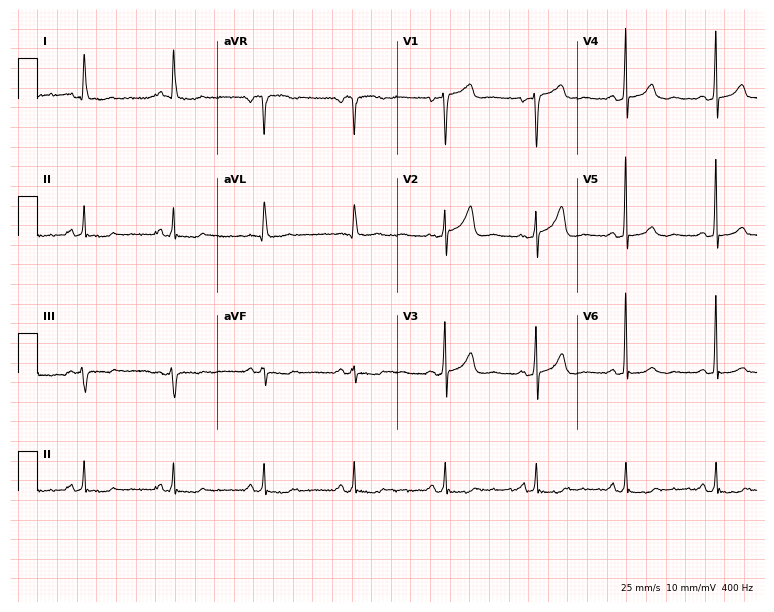
Electrocardiogram (7.3-second recording at 400 Hz), a 63-year-old female patient. Of the six screened findings (first-degree AV block, right bundle branch block, left bundle branch block, sinus bradycardia, atrial fibrillation, sinus tachycardia), none is recorded. Other findings, if any, are not listed.